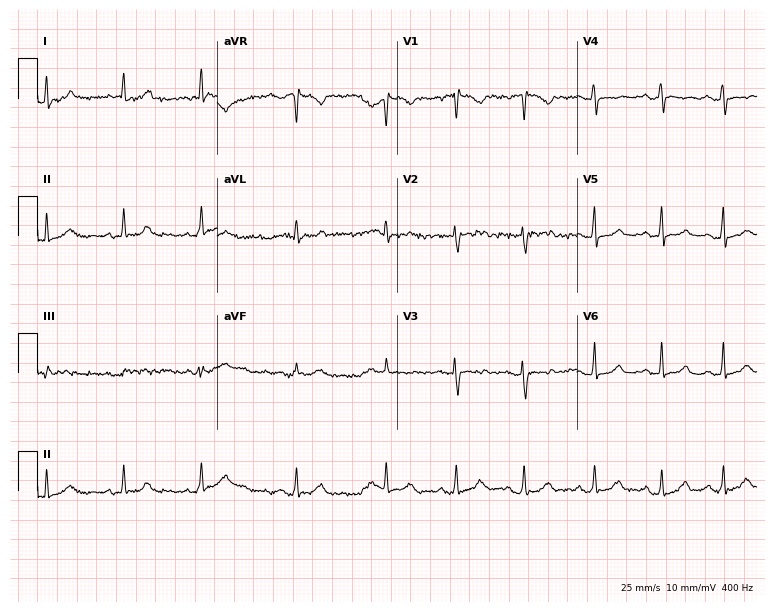
Electrocardiogram (7.3-second recording at 400 Hz), a woman, 27 years old. Of the six screened findings (first-degree AV block, right bundle branch block (RBBB), left bundle branch block (LBBB), sinus bradycardia, atrial fibrillation (AF), sinus tachycardia), none is recorded.